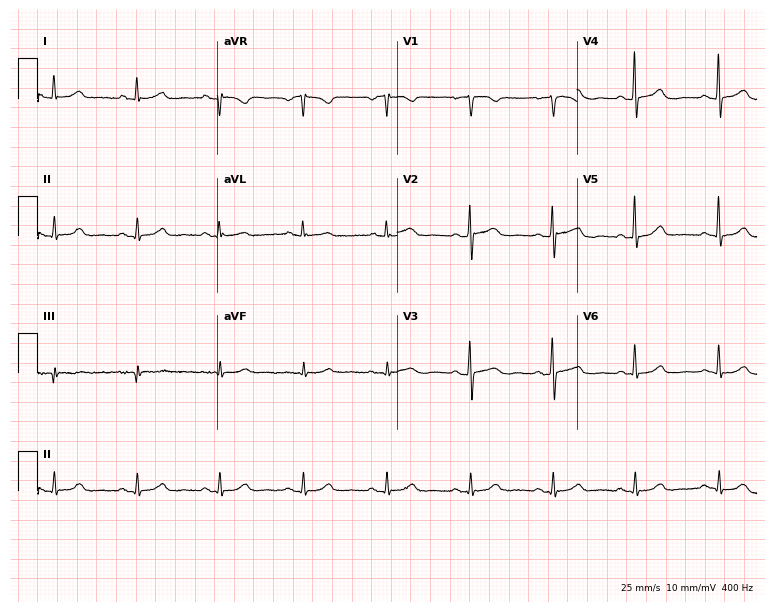
Resting 12-lead electrocardiogram. Patient: a 59-year-old female. Read as a normal ECG.